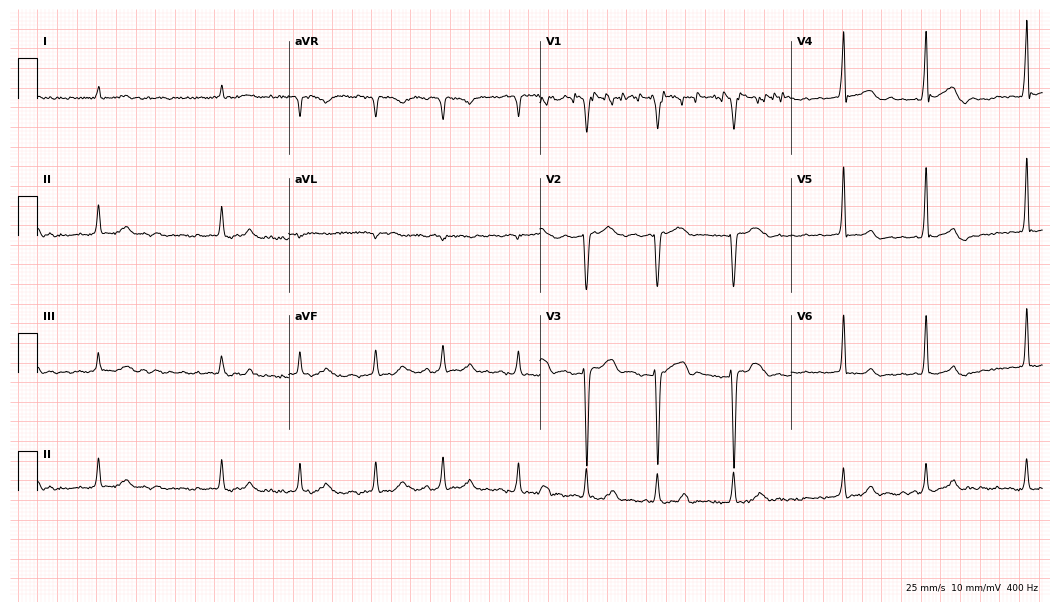
Electrocardiogram, a man, 44 years old. Of the six screened findings (first-degree AV block, right bundle branch block (RBBB), left bundle branch block (LBBB), sinus bradycardia, atrial fibrillation (AF), sinus tachycardia), none is recorded. Only these six findings were labelled.